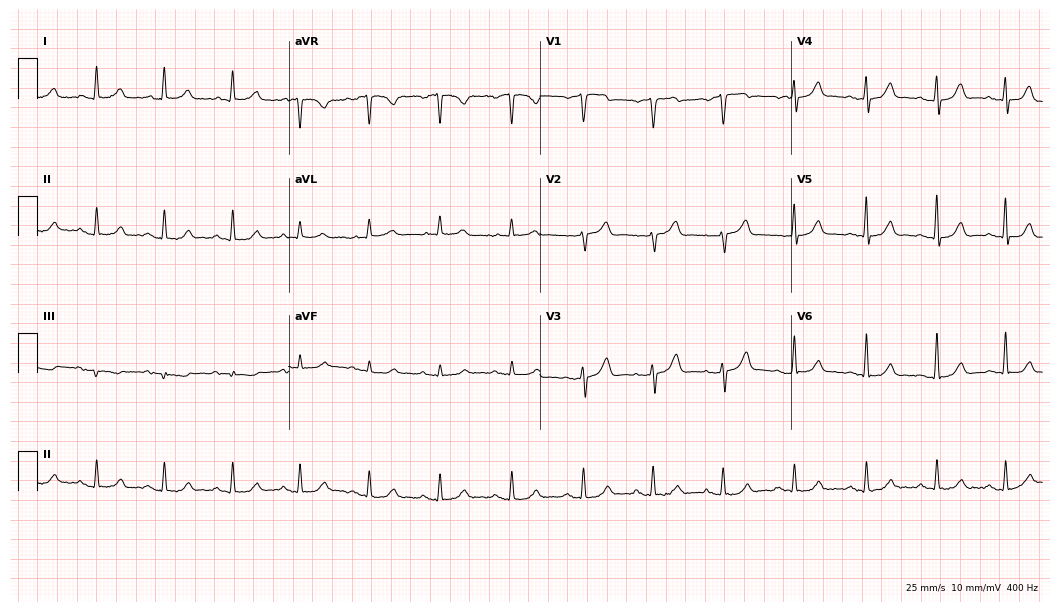
ECG — an 87-year-old male. Labelled as a normal ECG.